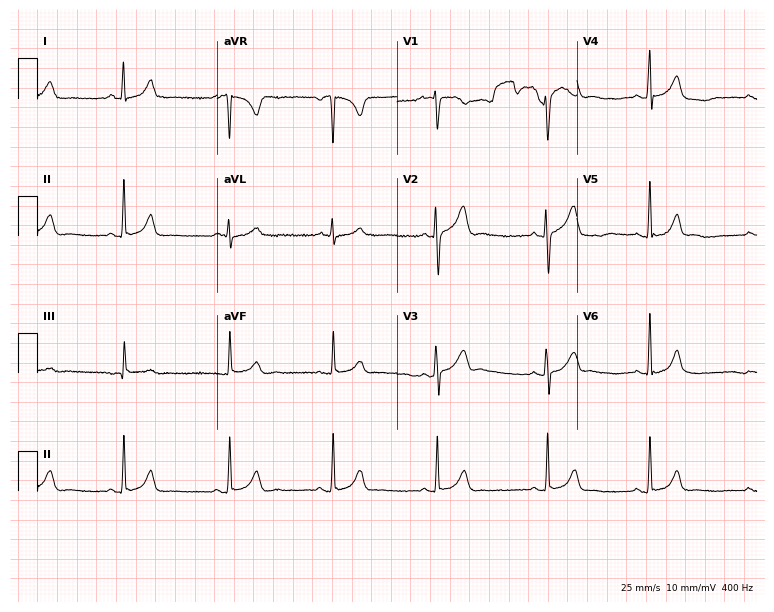
12-lead ECG (7.3-second recording at 400 Hz) from a female patient, 20 years old. Labelled as a normal ECG.